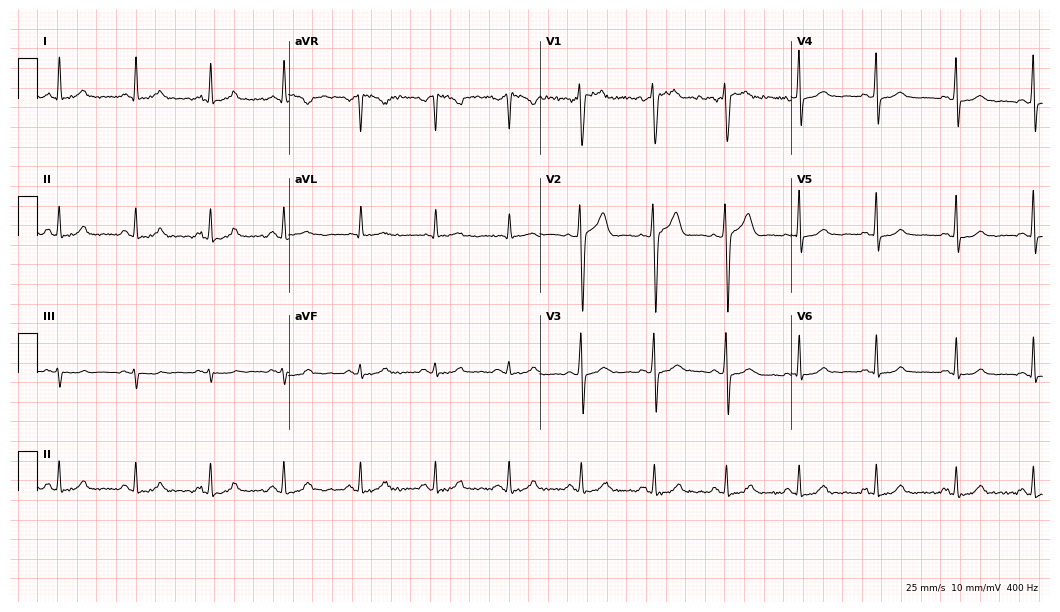
Electrocardiogram (10.2-second recording at 400 Hz), a 33-year-old male patient. Of the six screened findings (first-degree AV block, right bundle branch block, left bundle branch block, sinus bradycardia, atrial fibrillation, sinus tachycardia), none is recorded. Other findings, if any, are not listed.